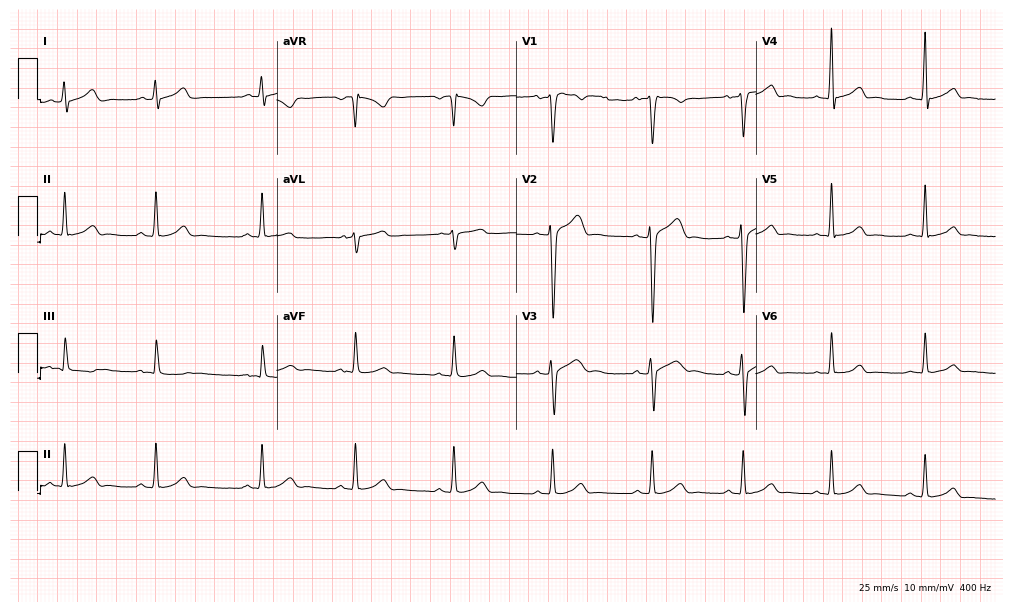
Standard 12-lead ECG recorded from a male patient, 25 years old. Read as a normal ECG.